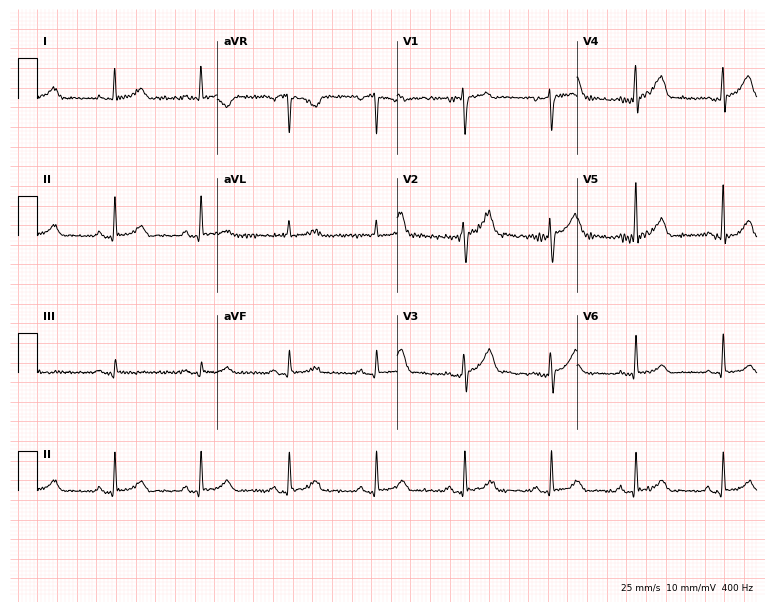
Resting 12-lead electrocardiogram (7.3-second recording at 400 Hz). Patient: a 46-year-old male. Read as a normal ECG.